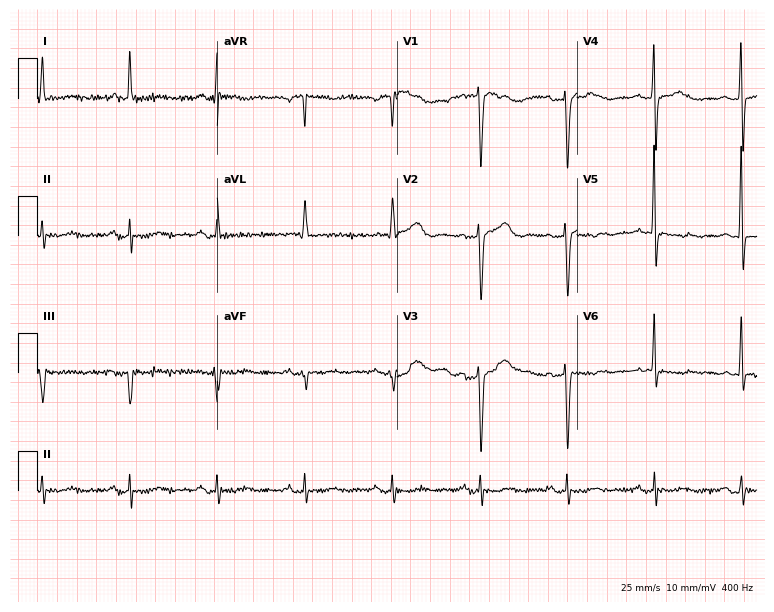
12-lead ECG from a 70-year-old female (7.3-second recording at 400 Hz). No first-degree AV block, right bundle branch block, left bundle branch block, sinus bradycardia, atrial fibrillation or sinus tachycardia recorded for this tracing.